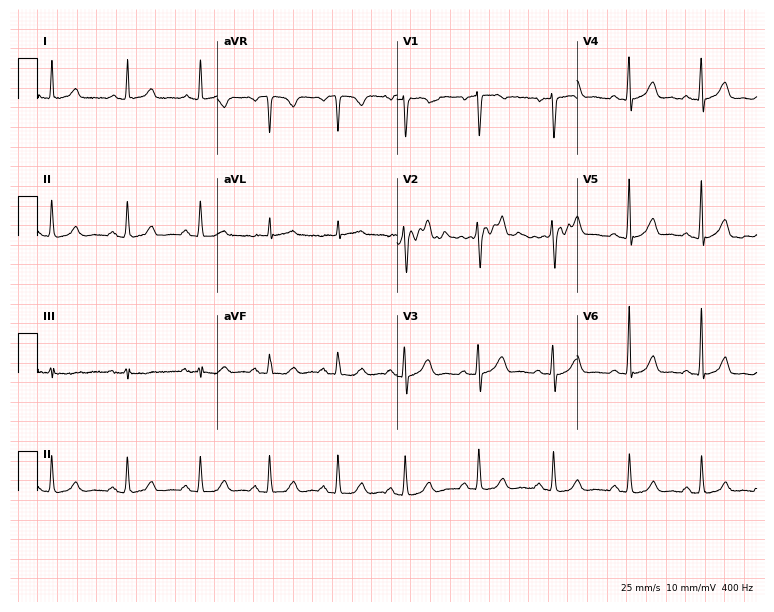
Standard 12-lead ECG recorded from a male, 68 years old (7.3-second recording at 400 Hz). None of these six findings is recorded: first-degree AV block, right bundle branch block (RBBB), left bundle branch block (LBBB), sinus bradycardia, atrial fibrillation (AF), sinus tachycardia. Other findings, if any, are not listed.